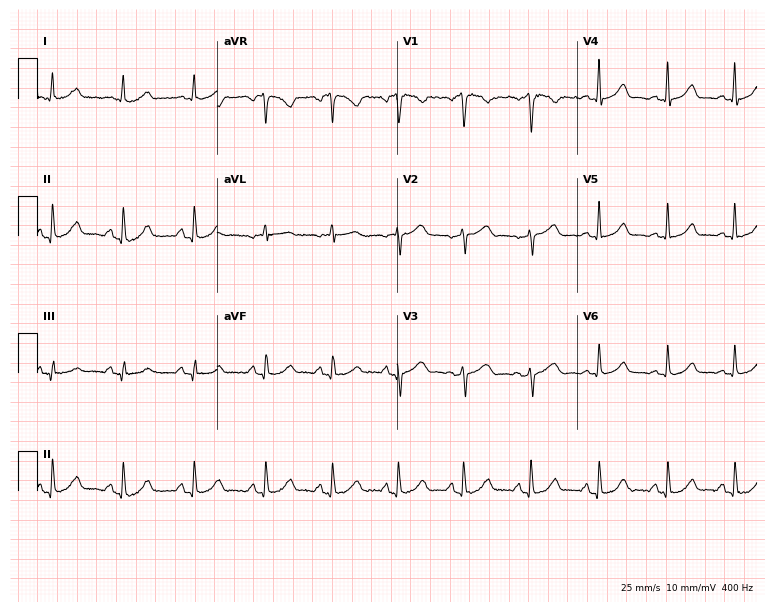
12-lead ECG from a woman, 53 years old. Recorded interpretation: within normal limits.